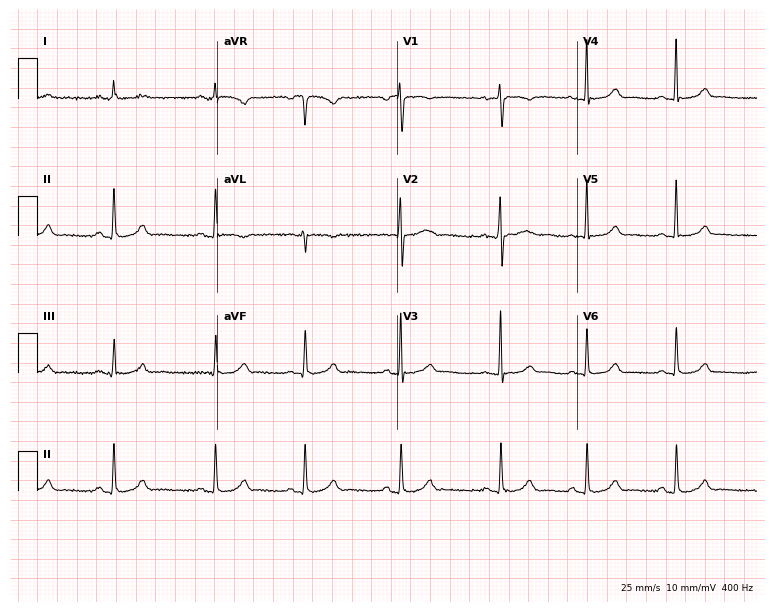
Electrocardiogram, a female patient, 26 years old. Overall reading on record: normal ECG.